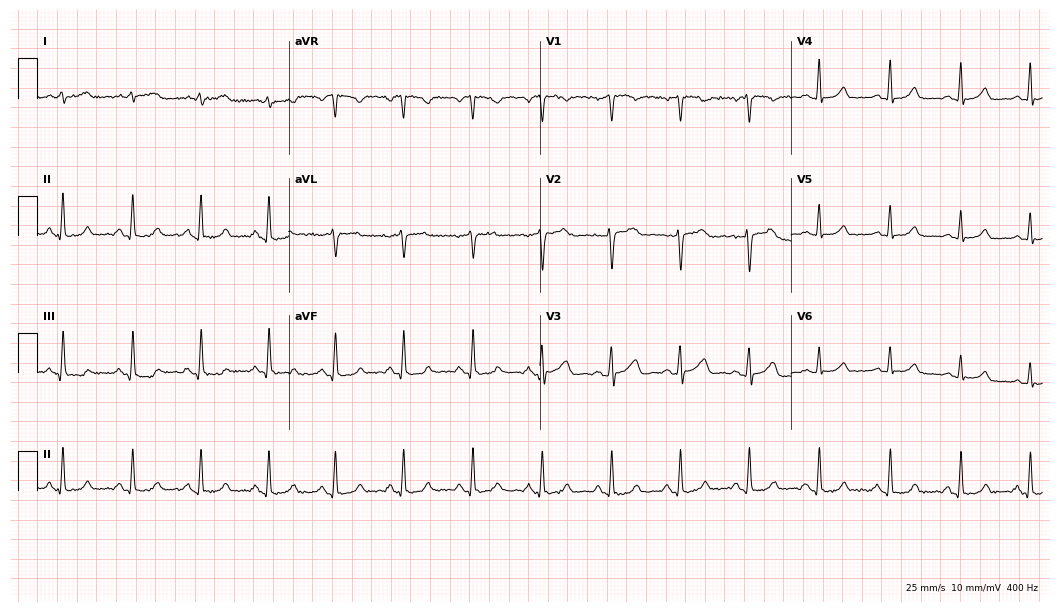
Standard 12-lead ECG recorded from a female, 47 years old (10.2-second recording at 400 Hz). Read as a normal ECG.